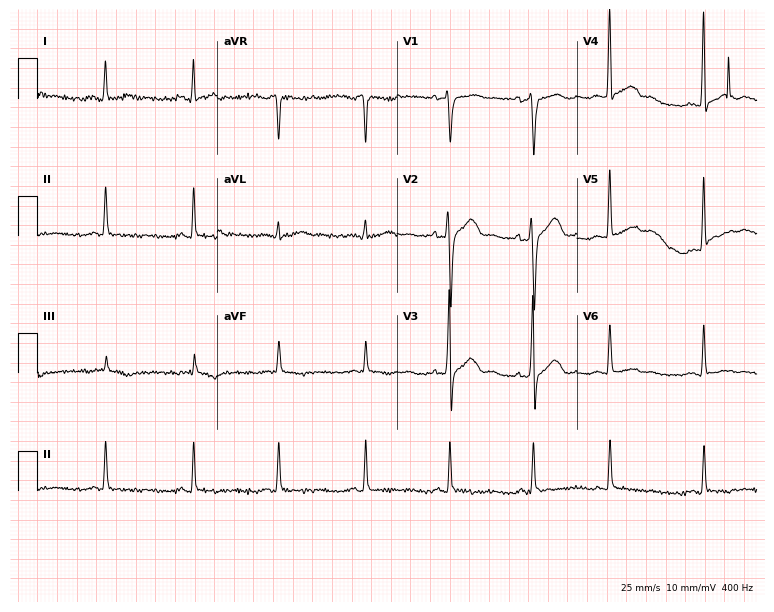
Electrocardiogram, a female patient, 42 years old. Of the six screened findings (first-degree AV block, right bundle branch block, left bundle branch block, sinus bradycardia, atrial fibrillation, sinus tachycardia), none is recorded. Findings outside these six are not listed.